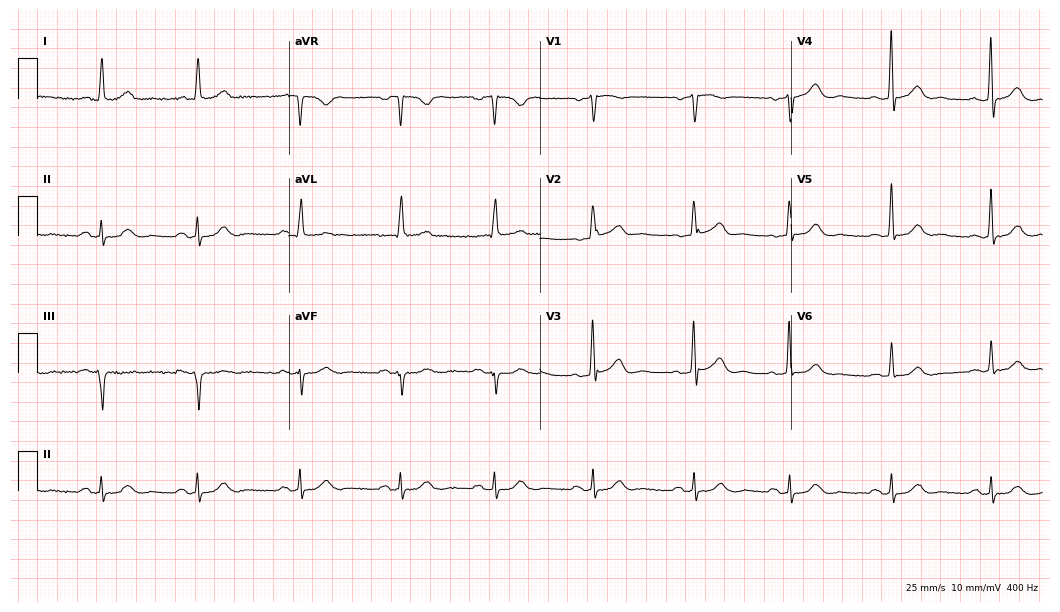
Standard 12-lead ECG recorded from a man, 74 years old. Read as a normal ECG.